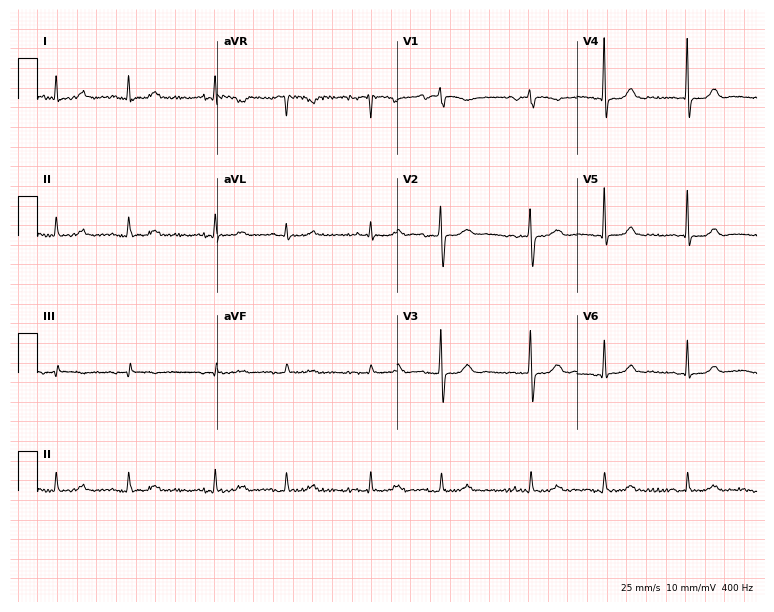
ECG — a 78-year-old woman. Screened for six findings — first-degree AV block, right bundle branch block, left bundle branch block, sinus bradycardia, atrial fibrillation, sinus tachycardia — none is recorded.